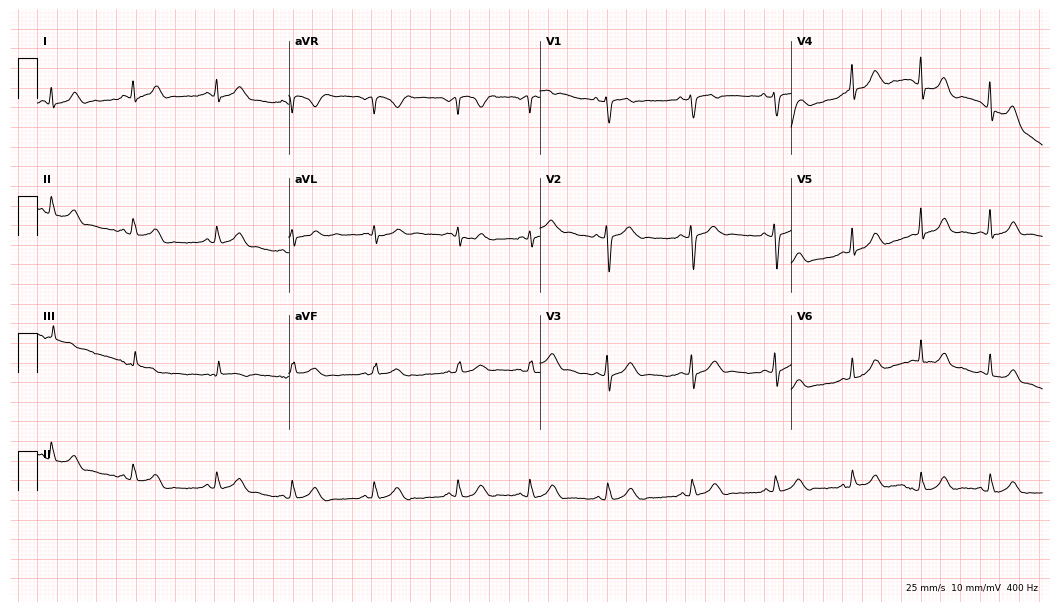
12-lead ECG (10.2-second recording at 400 Hz) from a 20-year-old woman. Labelled as a normal ECG.